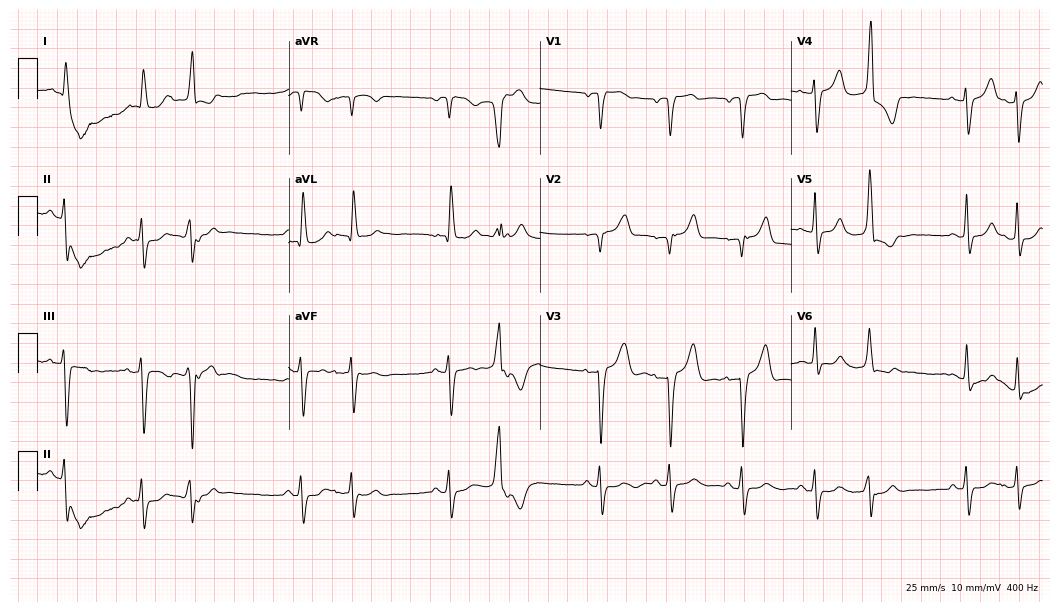
Standard 12-lead ECG recorded from a female patient, 74 years old (10.2-second recording at 400 Hz). None of these six findings is recorded: first-degree AV block, right bundle branch block (RBBB), left bundle branch block (LBBB), sinus bradycardia, atrial fibrillation (AF), sinus tachycardia.